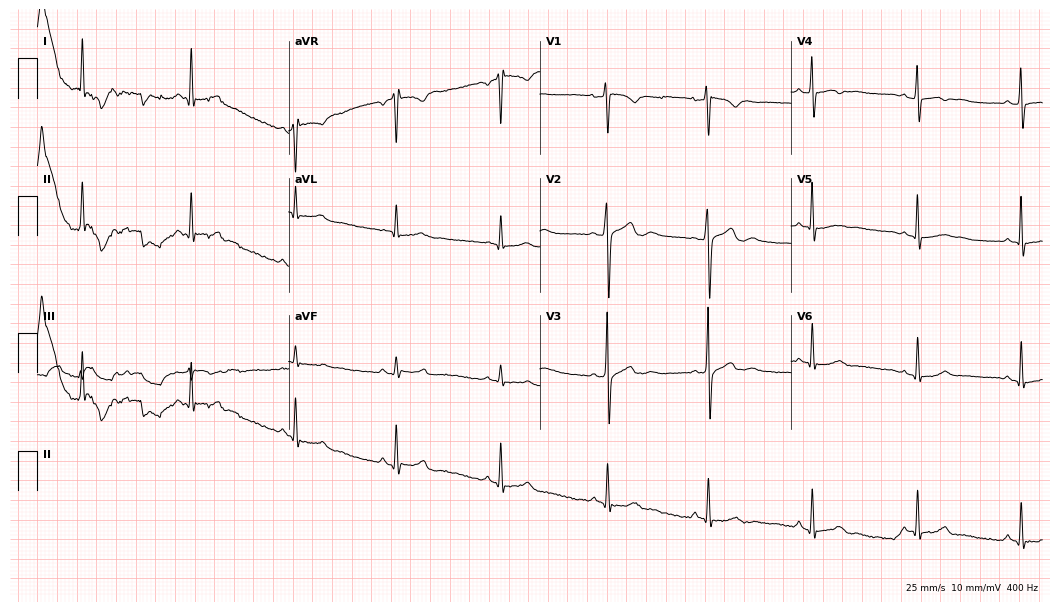
ECG — a man, 20 years old. Screened for six findings — first-degree AV block, right bundle branch block, left bundle branch block, sinus bradycardia, atrial fibrillation, sinus tachycardia — none is recorded.